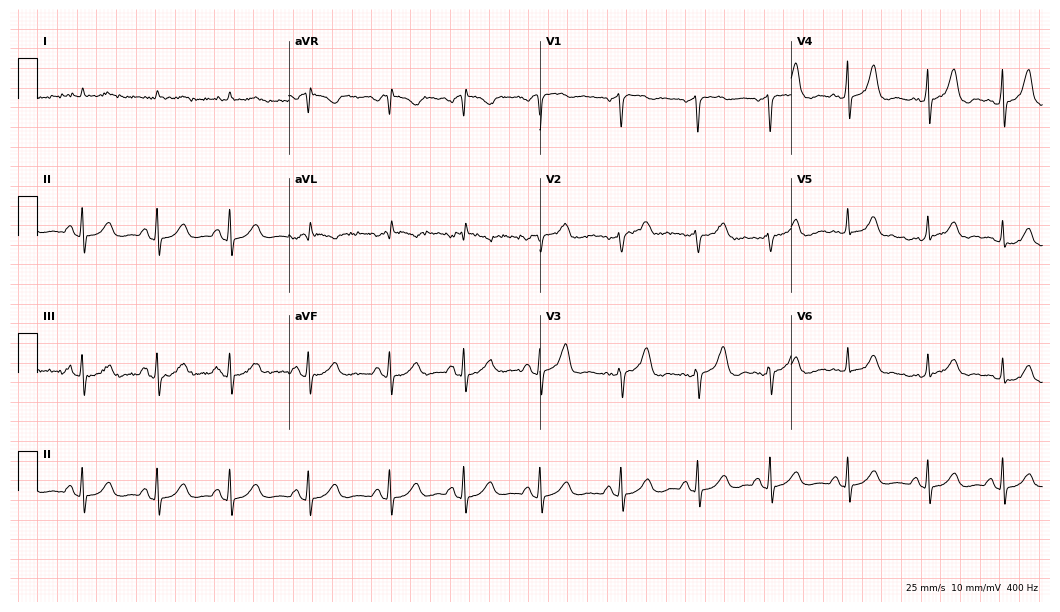
Electrocardiogram (10.2-second recording at 400 Hz), an 84-year-old man. Overall reading on record: normal ECG.